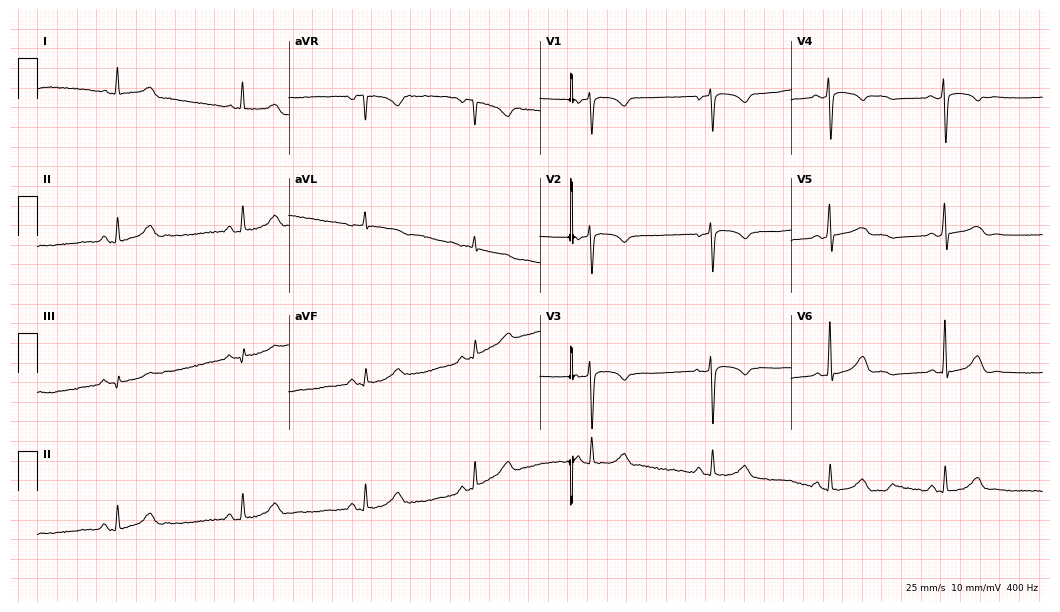
12-lead ECG (10.2-second recording at 400 Hz) from a 36-year-old female. Screened for six findings — first-degree AV block, right bundle branch block (RBBB), left bundle branch block (LBBB), sinus bradycardia, atrial fibrillation (AF), sinus tachycardia — none is recorded. Only these six findings were labelled.